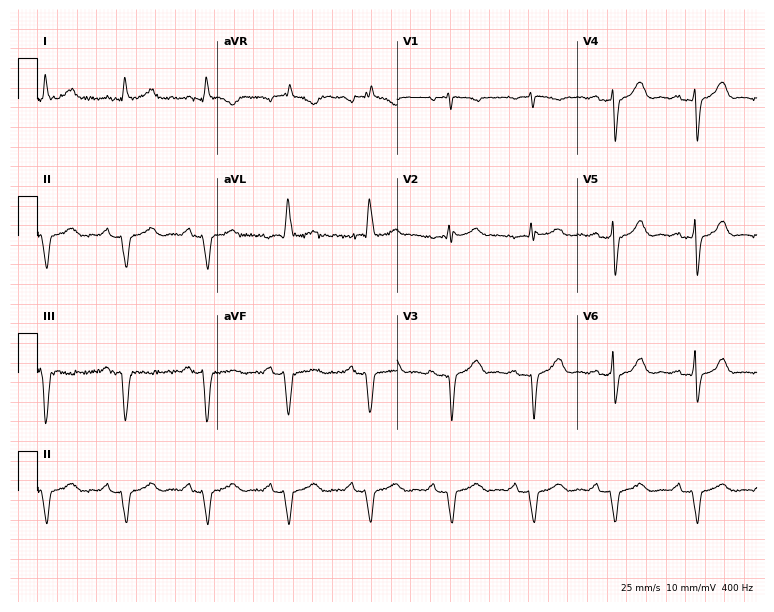
Resting 12-lead electrocardiogram (7.3-second recording at 400 Hz). Patient: a 53-year-old male. None of these six findings is recorded: first-degree AV block, right bundle branch block, left bundle branch block, sinus bradycardia, atrial fibrillation, sinus tachycardia.